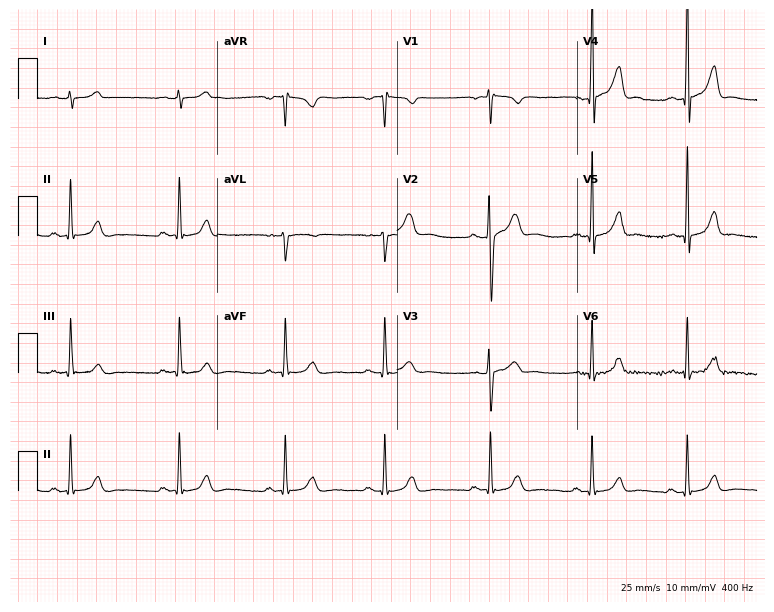
12-lead ECG (7.3-second recording at 400 Hz) from an 18-year-old male. Screened for six findings — first-degree AV block, right bundle branch block, left bundle branch block, sinus bradycardia, atrial fibrillation, sinus tachycardia — none is recorded.